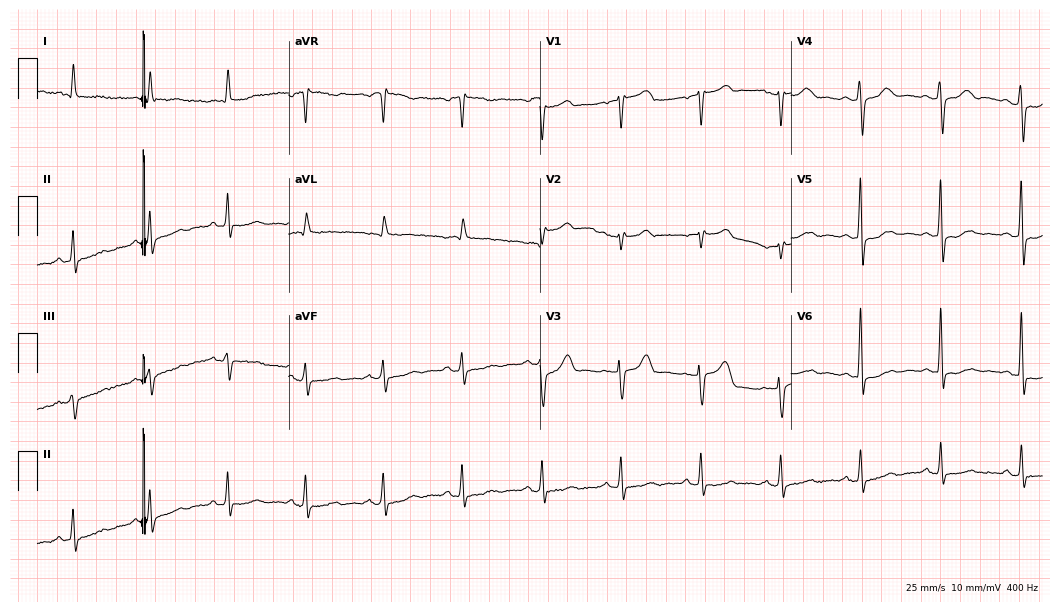
Resting 12-lead electrocardiogram. Patient: a female, 74 years old. None of these six findings is recorded: first-degree AV block, right bundle branch block, left bundle branch block, sinus bradycardia, atrial fibrillation, sinus tachycardia.